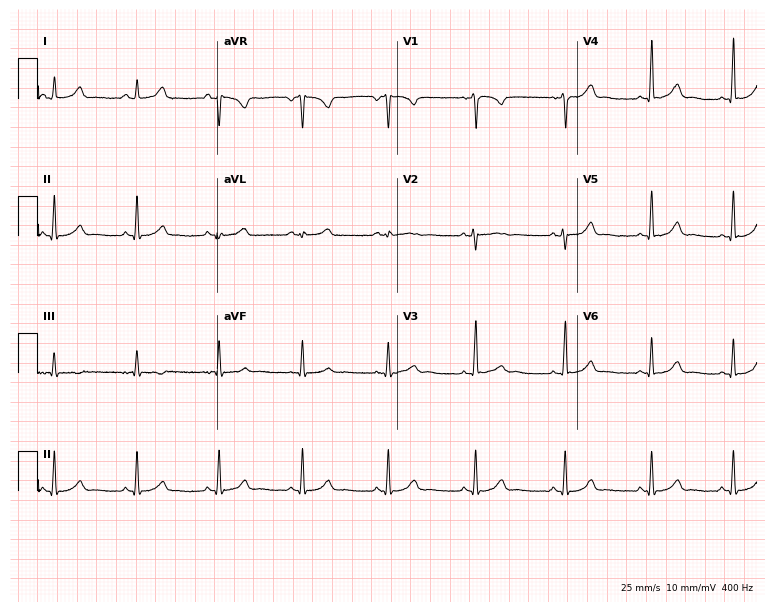
12-lead ECG from a 22-year-old woman. Screened for six findings — first-degree AV block, right bundle branch block, left bundle branch block, sinus bradycardia, atrial fibrillation, sinus tachycardia — none is recorded. Other findings, if any, are not listed.